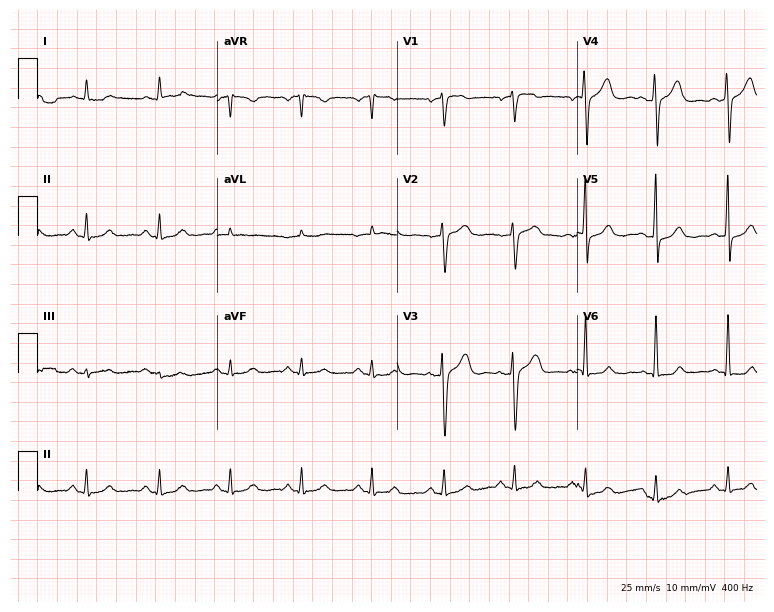
12-lead ECG from a male, 78 years old (7.3-second recording at 400 Hz). Recorded interpretation: within normal limits.